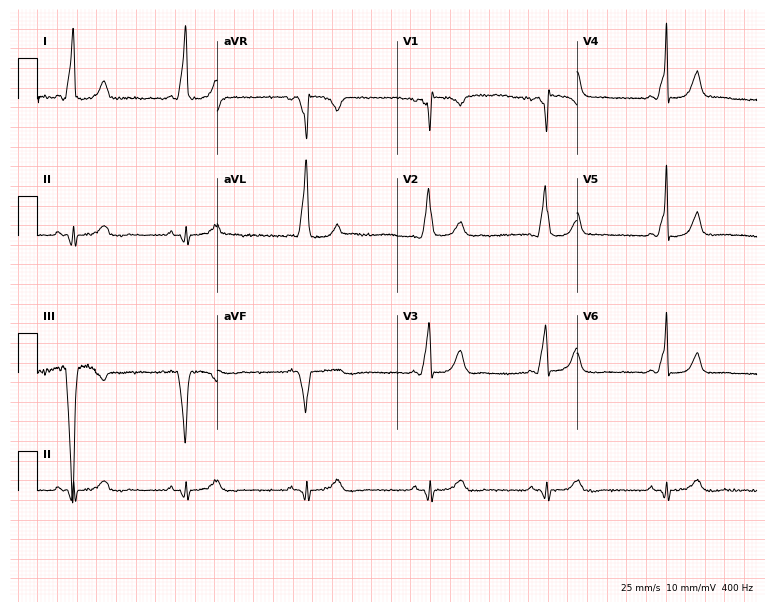
12-lead ECG (7.3-second recording at 400 Hz) from a female patient, 36 years old. Screened for six findings — first-degree AV block, right bundle branch block (RBBB), left bundle branch block (LBBB), sinus bradycardia, atrial fibrillation (AF), sinus tachycardia — none is recorded.